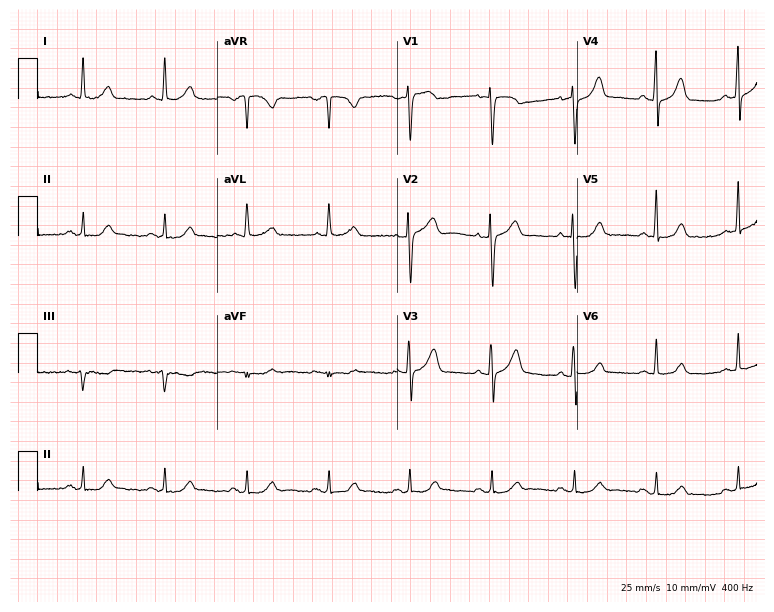
ECG — a 67-year-old female. Labelled as a normal ECG.